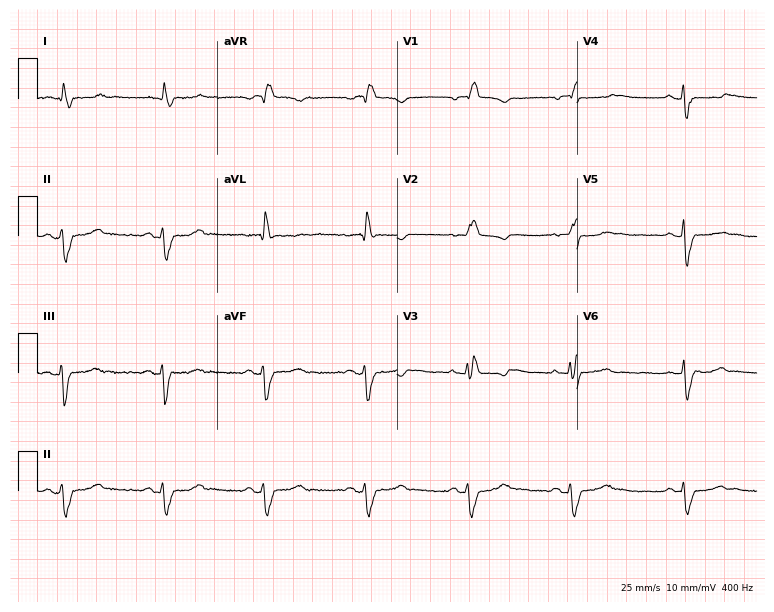
12-lead ECG from a female patient, 75 years old (7.3-second recording at 400 Hz). Shows right bundle branch block (RBBB).